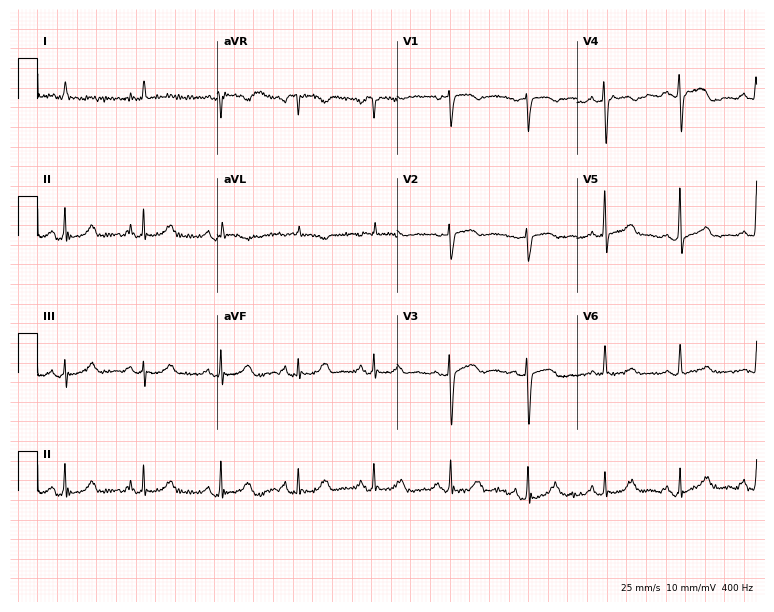
Standard 12-lead ECG recorded from a female patient, 81 years old. None of these six findings is recorded: first-degree AV block, right bundle branch block (RBBB), left bundle branch block (LBBB), sinus bradycardia, atrial fibrillation (AF), sinus tachycardia. Findings outside these six are not listed.